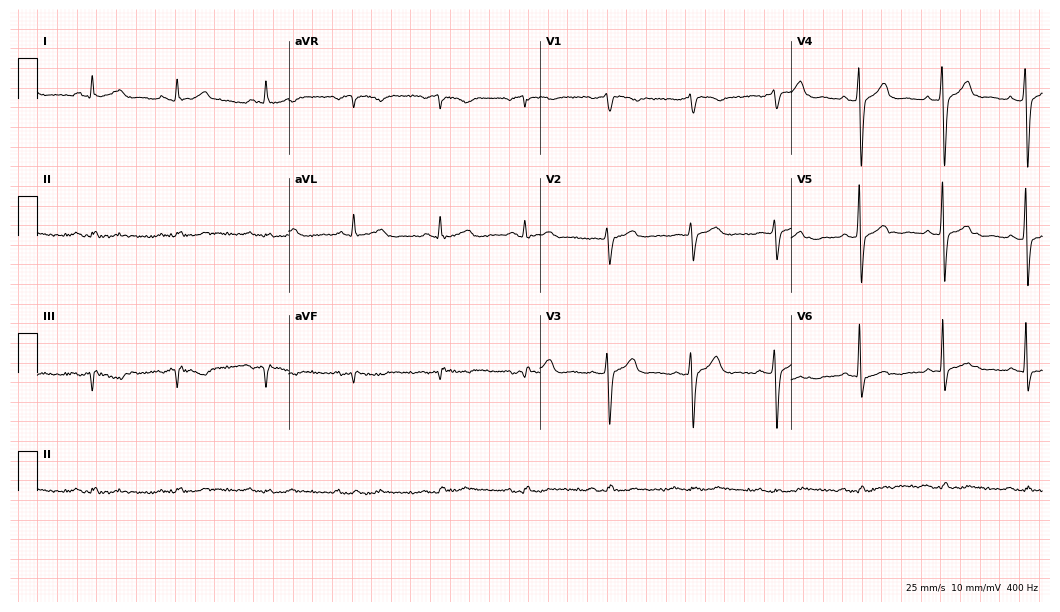
Standard 12-lead ECG recorded from a male patient, 71 years old. None of these six findings is recorded: first-degree AV block, right bundle branch block (RBBB), left bundle branch block (LBBB), sinus bradycardia, atrial fibrillation (AF), sinus tachycardia. Only these six findings were labelled.